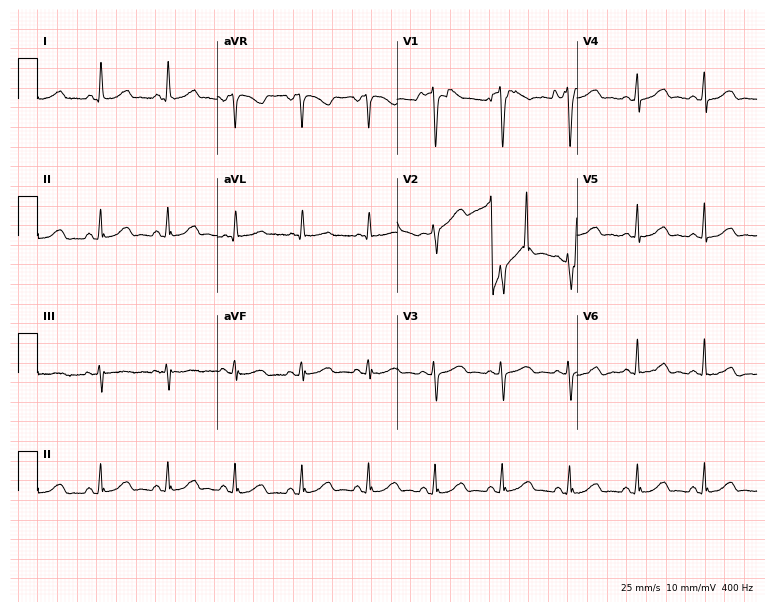
ECG — a female, 63 years old. Labelled as a normal ECG.